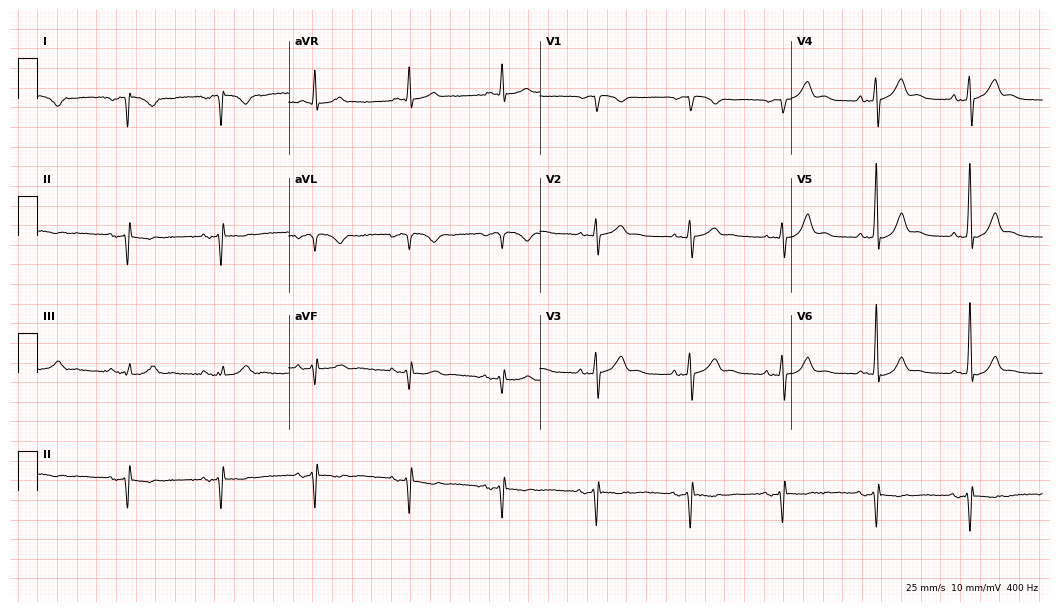
ECG (10.2-second recording at 400 Hz) — a 61-year-old male. Screened for six findings — first-degree AV block, right bundle branch block, left bundle branch block, sinus bradycardia, atrial fibrillation, sinus tachycardia — none is recorded.